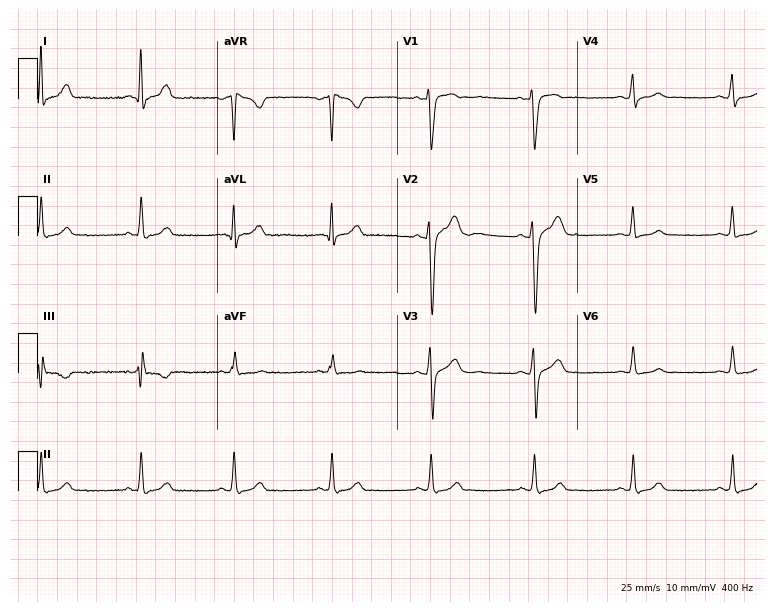
Resting 12-lead electrocardiogram. Patient: a 30-year-old male. None of these six findings is recorded: first-degree AV block, right bundle branch block (RBBB), left bundle branch block (LBBB), sinus bradycardia, atrial fibrillation (AF), sinus tachycardia.